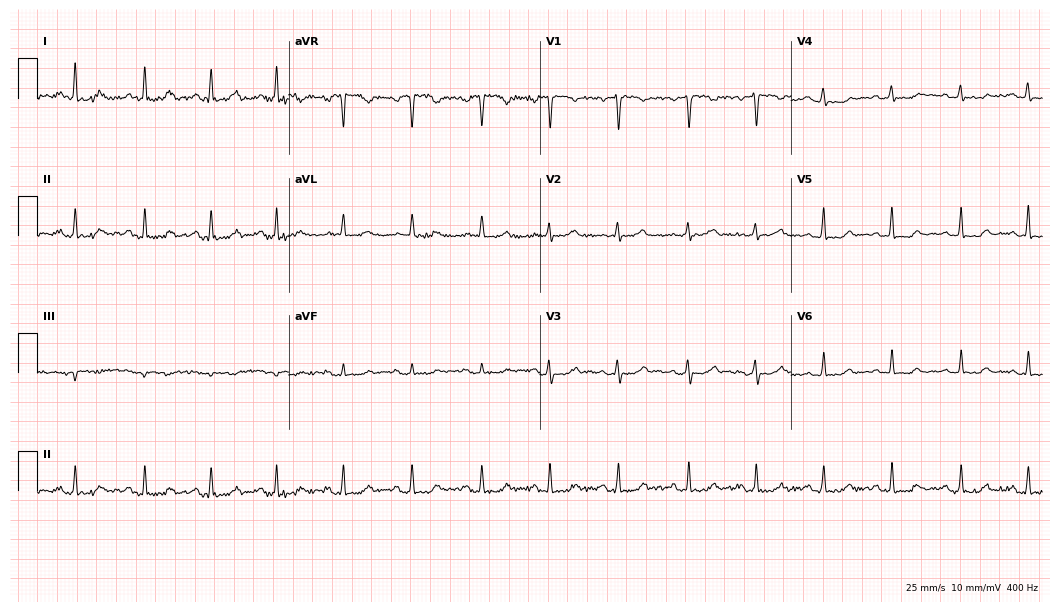
12-lead ECG (10.2-second recording at 400 Hz) from a female, 44 years old. Labelled as a normal ECG.